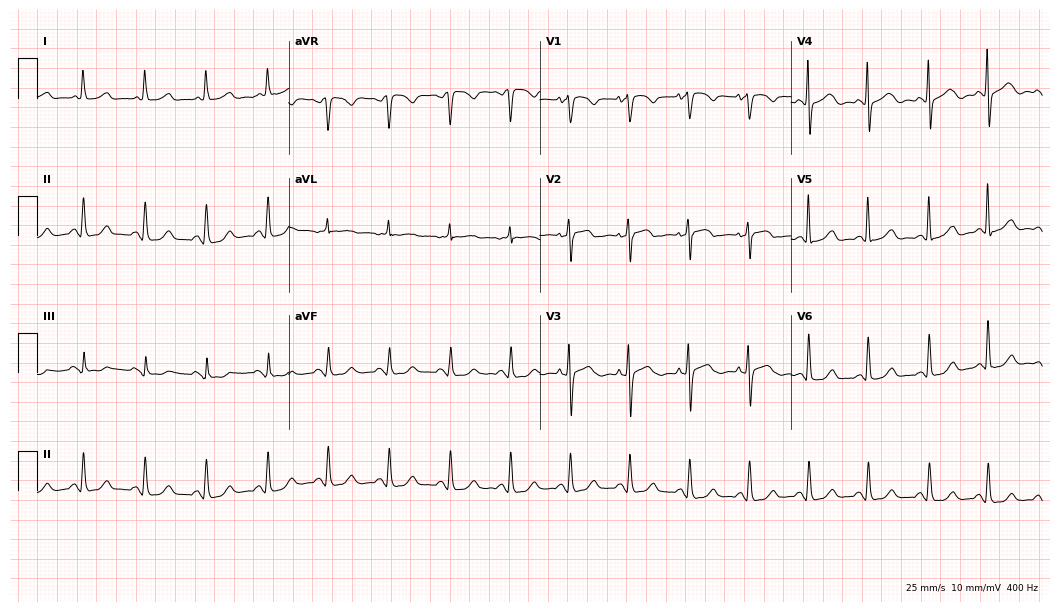
Electrocardiogram, a woman, 78 years old. Of the six screened findings (first-degree AV block, right bundle branch block, left bundle branch block, sinus bradycardia, atrial fibrillation, sinus tachycardia), none is recorded.